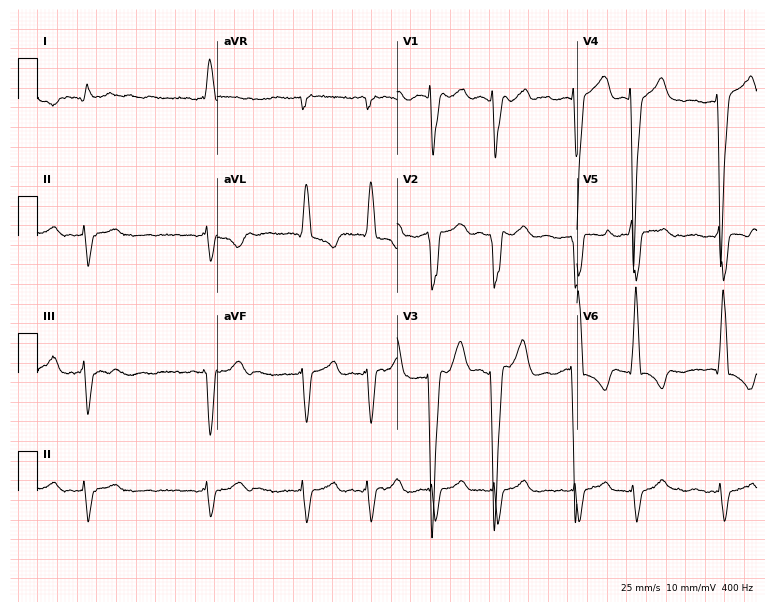
ECG — a male patient, 75 years old. Findings include left bundle branch block (LBBB), atrial fibrillation (AF).